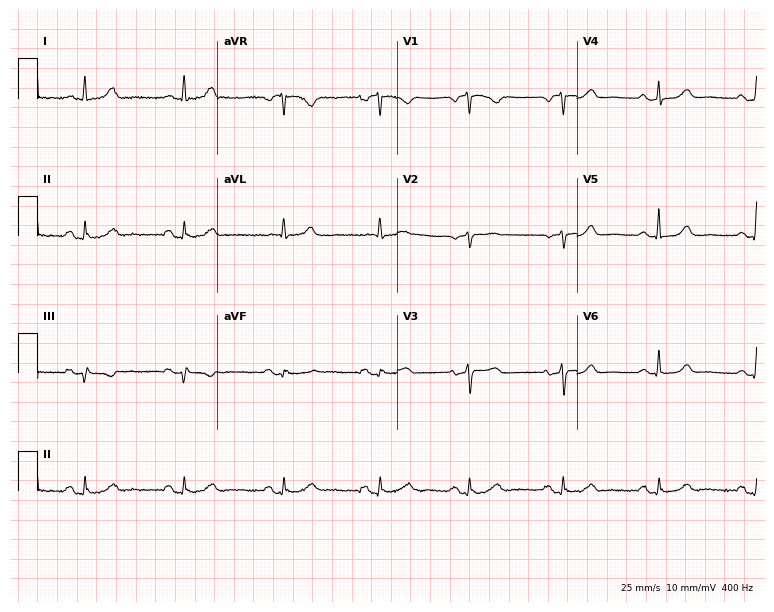
Electrocardiogram, a female patient, 78 years old. Of the six screened findings (first-degree AV block, right bundle branch block, left bundle branch block, sinus bradycardia, atrial fibrillation, sinus tachycardia), none is recorded.